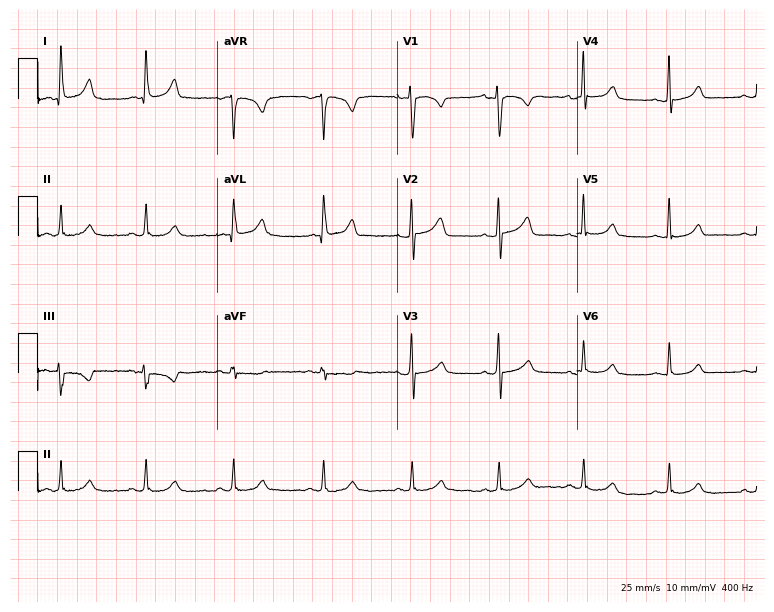
ECG (7.3-second recording at 400 Hz) — a female, 46 years old. Labelled as a normal ECG.